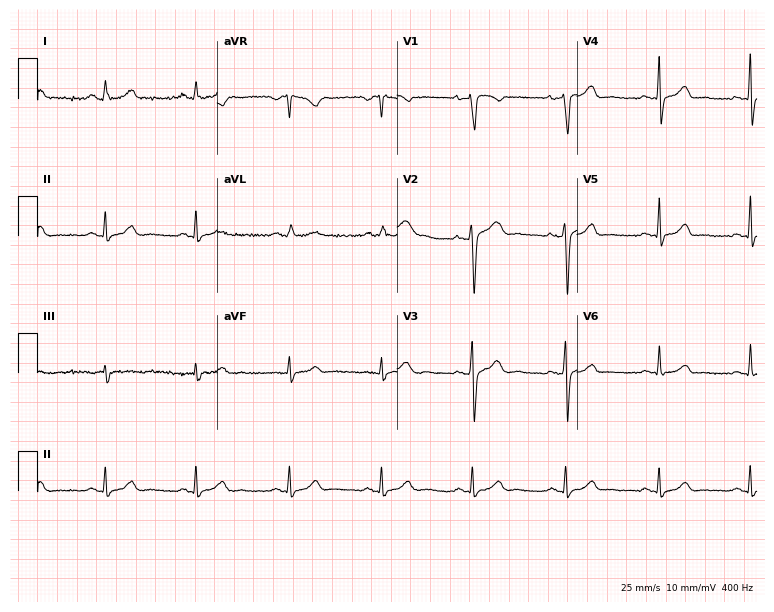
Resting 12-lead electrocardiogram (7.3-second recording at 400 Hz). Patient: a 42-year-old female. Read as a normal ECG.